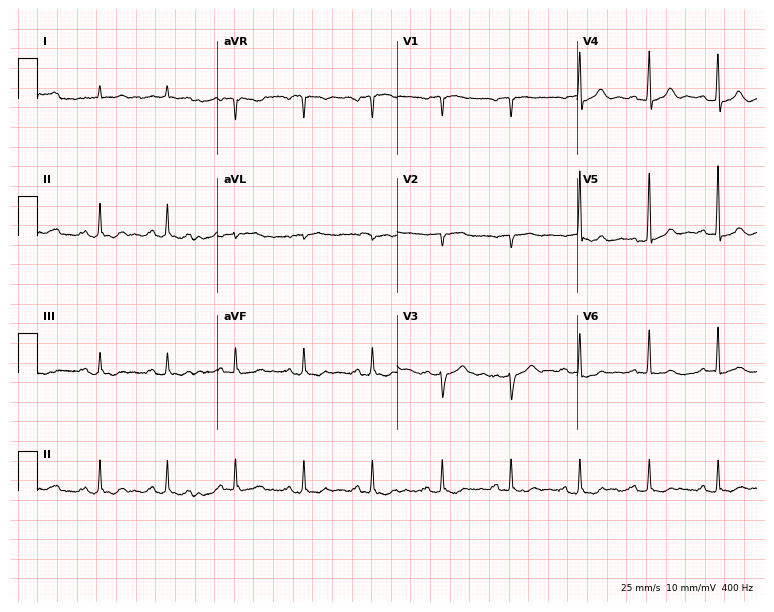
12-lead ECG from a 77-year-old male (7.3-second recording at 400 Hz). No first-degree AV block, right bundle branch block, left bundle branch block, sinus bradycardia, atrial fibrillation or sinus tachycardia recorded for this tracing. Findings outside these six are not listed.